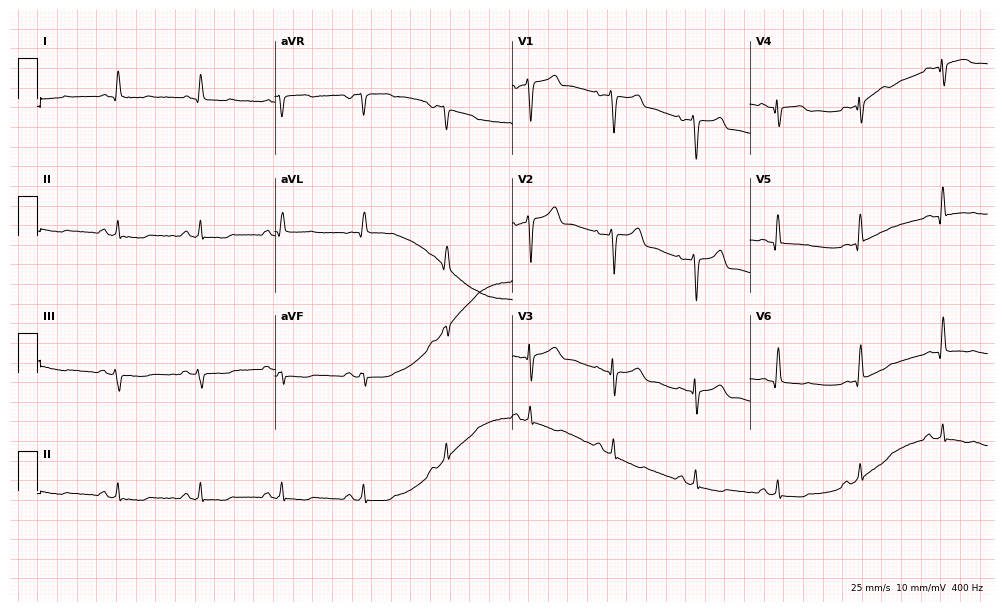
ECG — a 78-year-old male patient. Screened for six findings — first-degree AV block, right bundle branch block (RBBB), left bundle branch block (LBBB), sinus bradycardia, atrial fibrillation (AF), sinus tachycardia — none is recorded. Only these six findings were labelled.